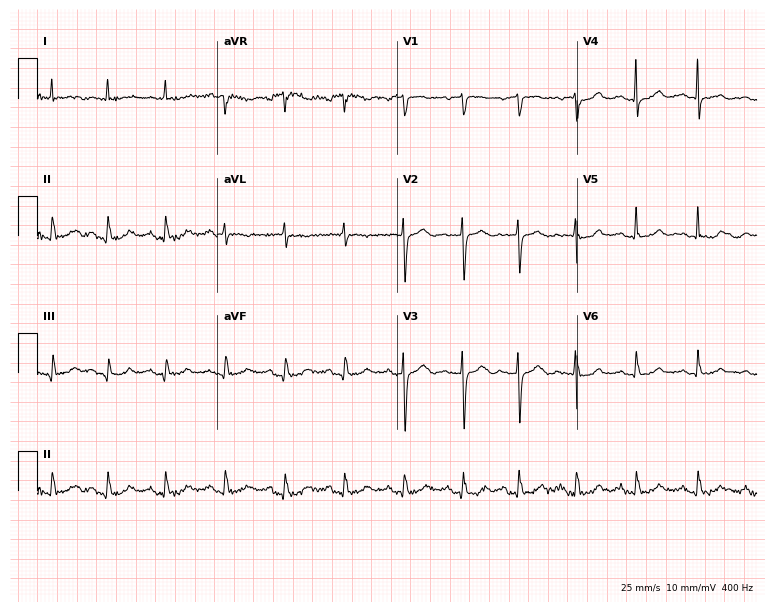
ECG (7.3-second recording at 400 Hz) — a woman, 75 years old. Labelled as a normal ECG.